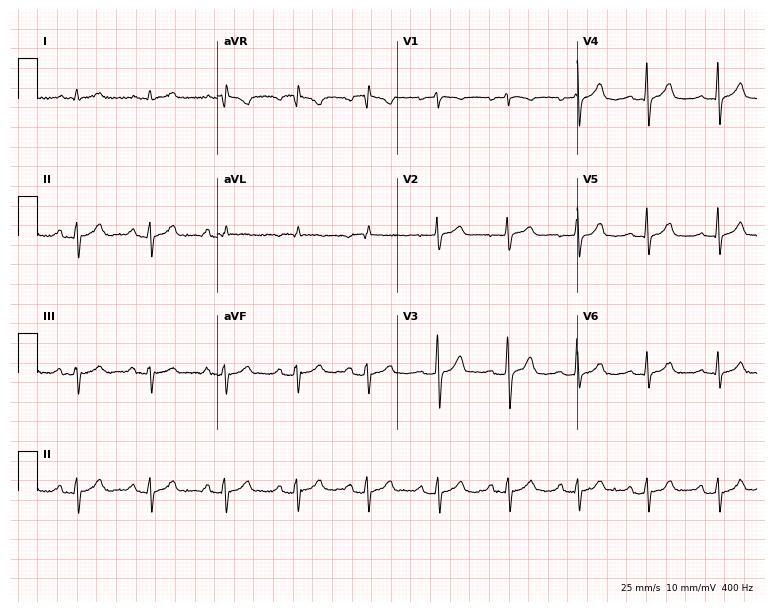
ECG — a 48-year-old woman. Screened for six findings — first-degree AV block, right bundle branch block, left bundle branch block, sinus bradycardia, atrial fibrillation, sinus tachycardia — none is recorded. Findings outside these six are not listed.